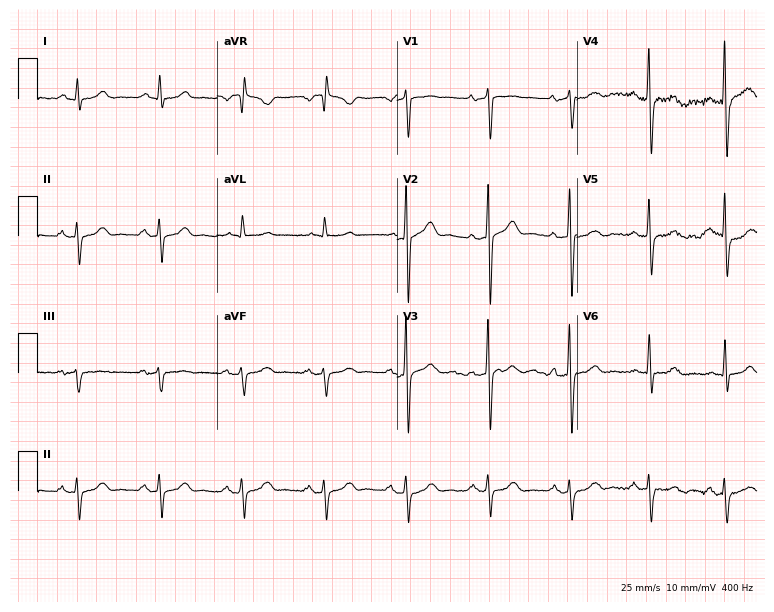
Standard 12-lead ECG recorded from a 68-year-old male patient (7.3-second recording at 400 Hz). None of these six findings is recorded: first-degree AV block, right bundle branch block (RBBB), left bundle branch block (LBBB), sinus bradycardia, atrial fibrillation (AF), sinus tachycardia.